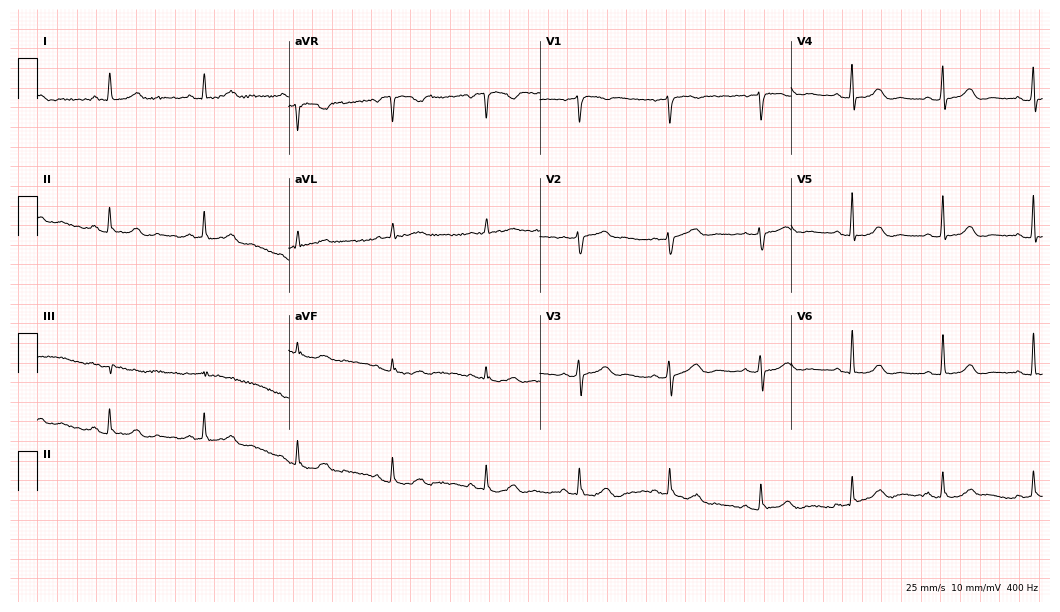
Electrocardiogram, a 74-year-old female. Overall reading on record: normal ECG.